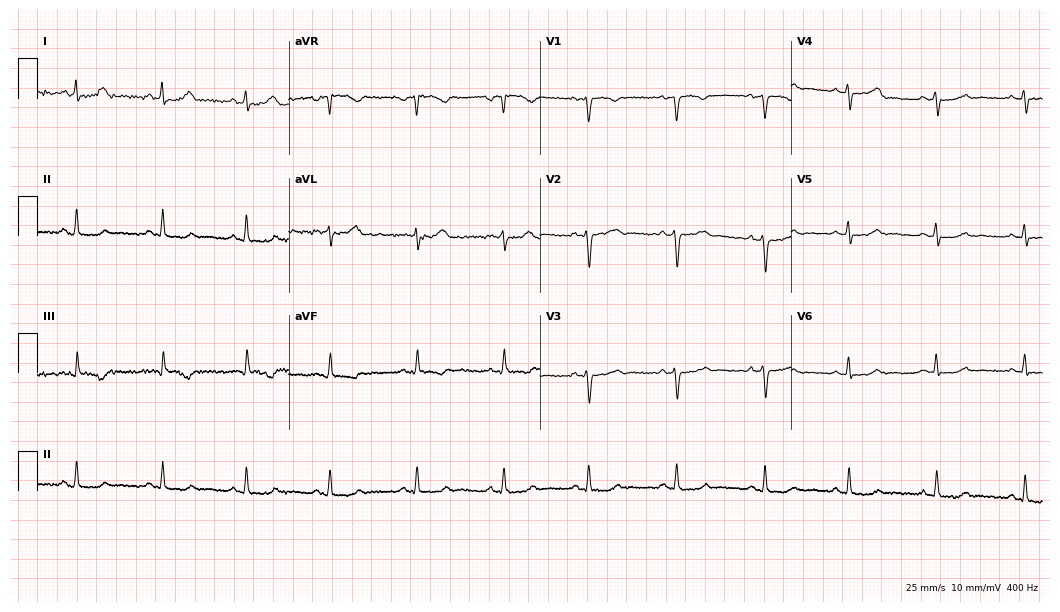
12-lead ECG from a female, 39 years old. Screened for six findings — first-degree AV block, right bundle branch block (RBBB), left bundle branch block (LBBB), sinus bradycardia, atrial fibrillation (AF), sinus tachycardia — none is recorded.